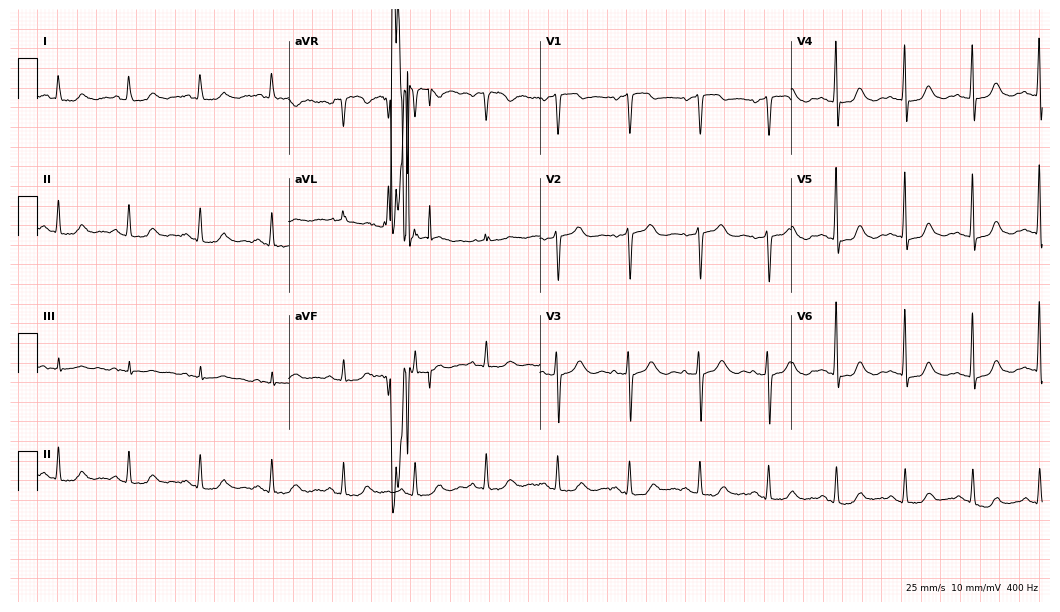
Resting 12-lead electrocardiogram. Patient: a woman, 82 years old. Read as a normal ECG.